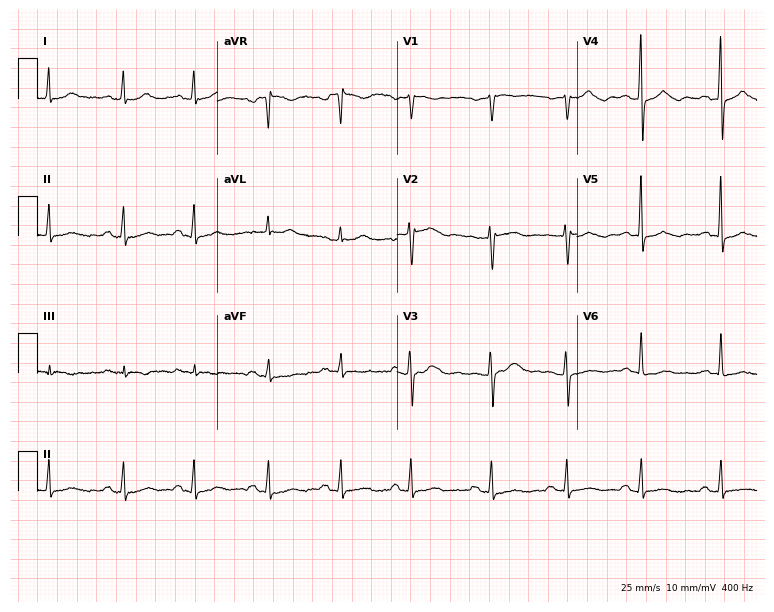
12-lead ECG (7.3-second recording at 400 Hz) from a 55-year-old woman. Screened for six findings — first-degree AV block, right bundle branch block (RBBB), left bundle branch block (LBBB), sinus bradycardia, atrial fibrillation (AF), sinus tachycardia — none is recorded. Findings outside these six are not listed.